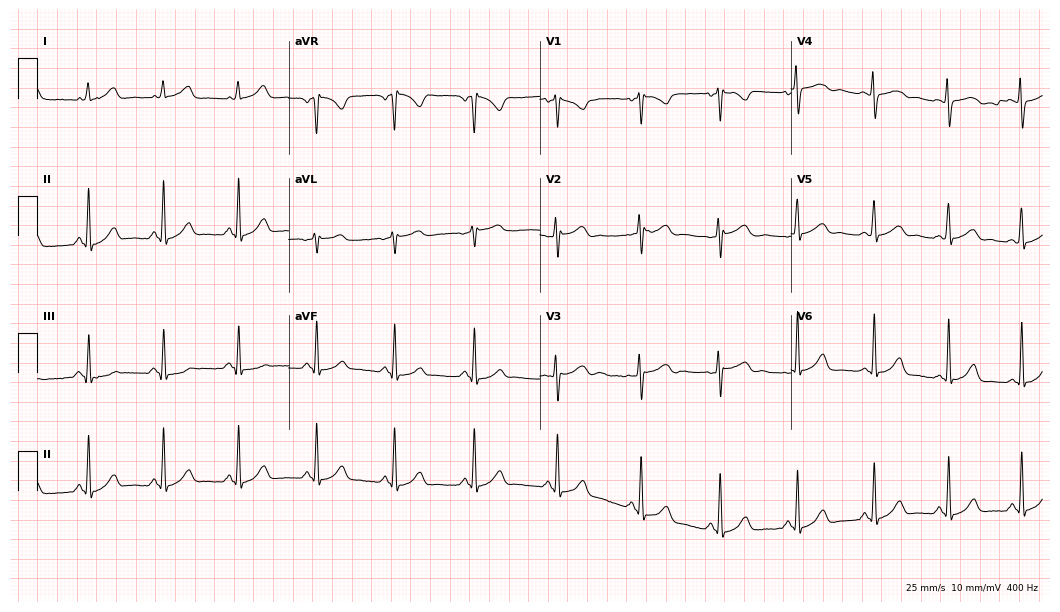
Resting 12-lead electrocardiogram (10.2-second recording at 400 Hz). Patient: a female, 28 years old. Read as a normal ECG.